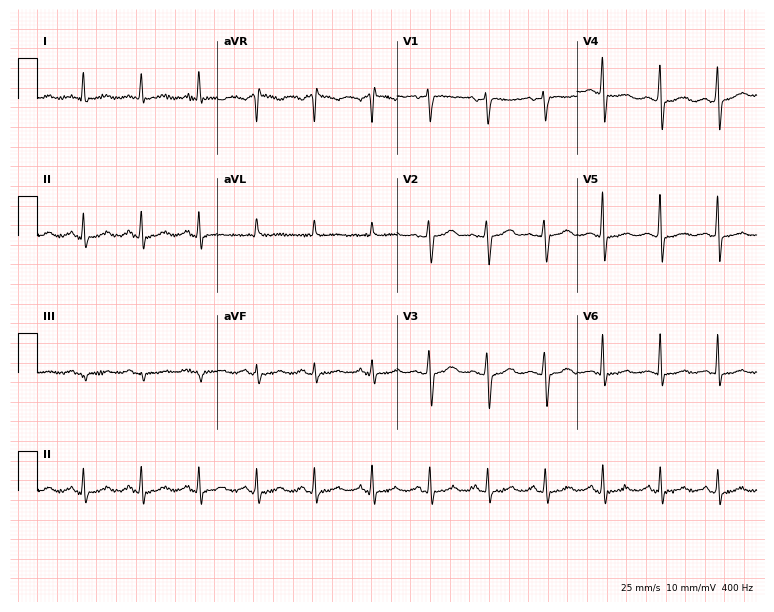
12-lead ECG (7.3-second recording at 400 Hz) from a 53-year-old woman. Findings include sinus tachycardia (a sinus rate of 100 beats per minute or more).